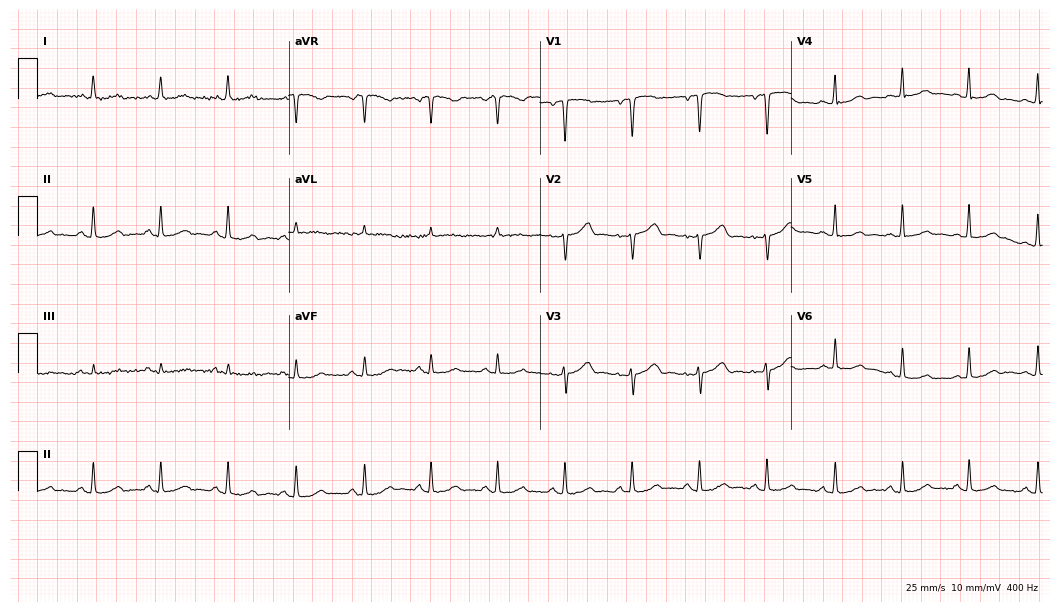
Resting 12-lead electrocardiogram. Patient: a 65-year-old female. Read as a normal ECG.